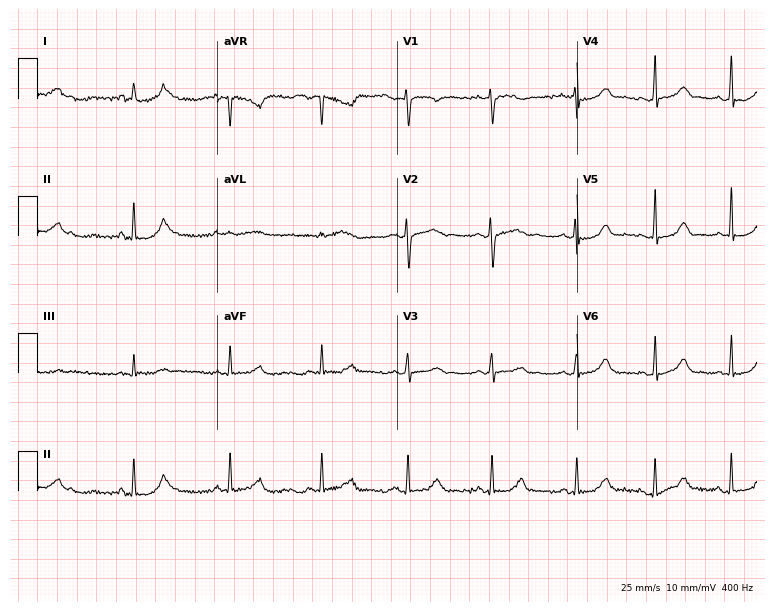
Resting 12-lead electrocardiogram. Patient: a 25-year-old woman. Read as a normal ECG.